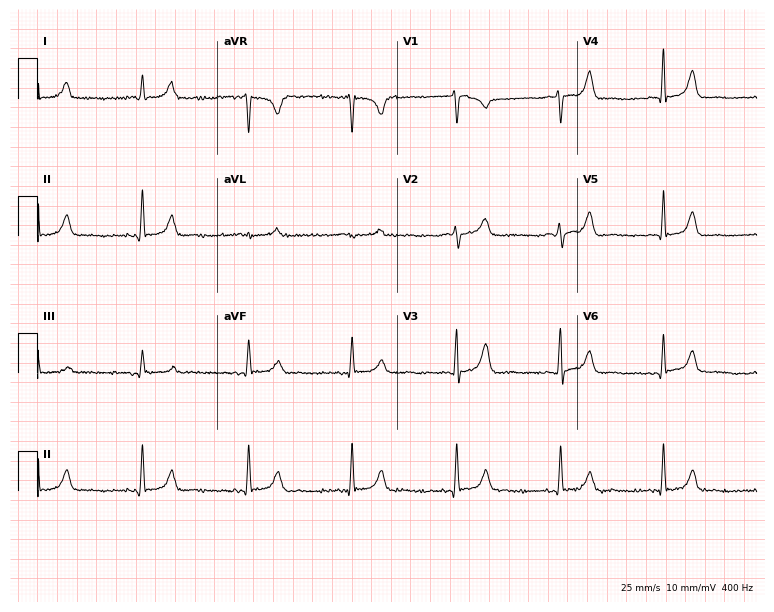
Resting 12-lead electrocardiogram (7.3-second recording at 400 Hz). Patient: a 71-year-old woman. None of these six findings is recorded: first-degree AV block, right bundle branch block, left bundle branch block, sinus bradycardia, atrial fibrillation, sinus tachycardia. Findings outside these six are not listed.